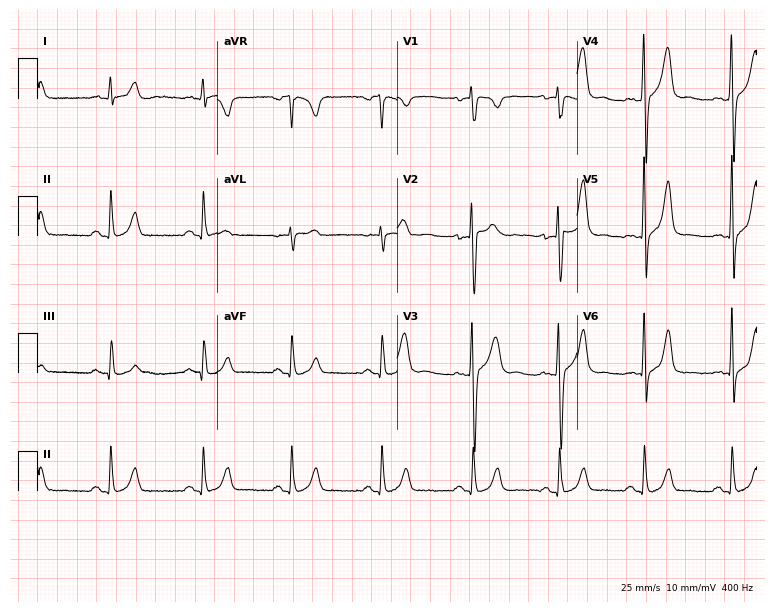
12-lead ECG from a 26-year-old male patient. Screened for six findings — first-degree AV block, right bundle branch block, left bundle branch block, sinus bradycardia, atrial fibrillation, sinus tachycardia — none is recorded. Other findings, if any, are not listed.